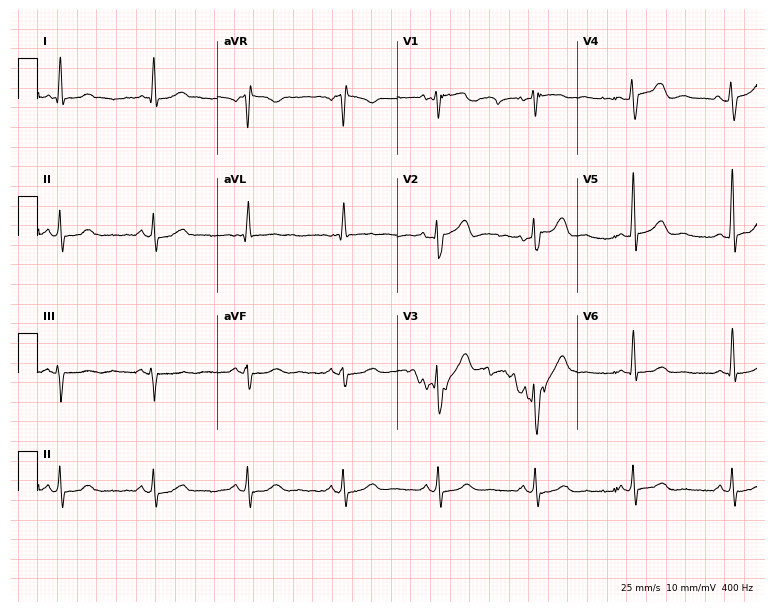
Electrocardiogram, a 60-year-old male. Overall reading on record: normal ECG.